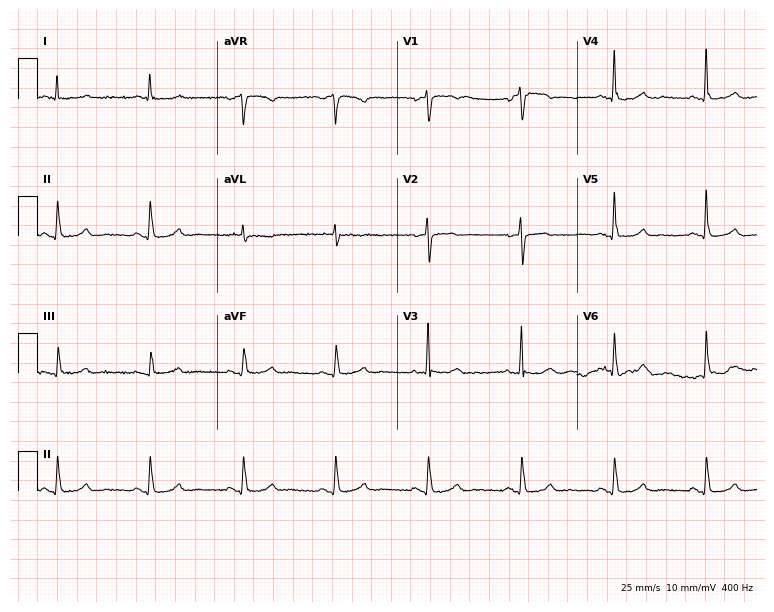
ECG (7.3-second recording at 400 Hz) — a woman, 74 years old. Labelled as a normal ECG.